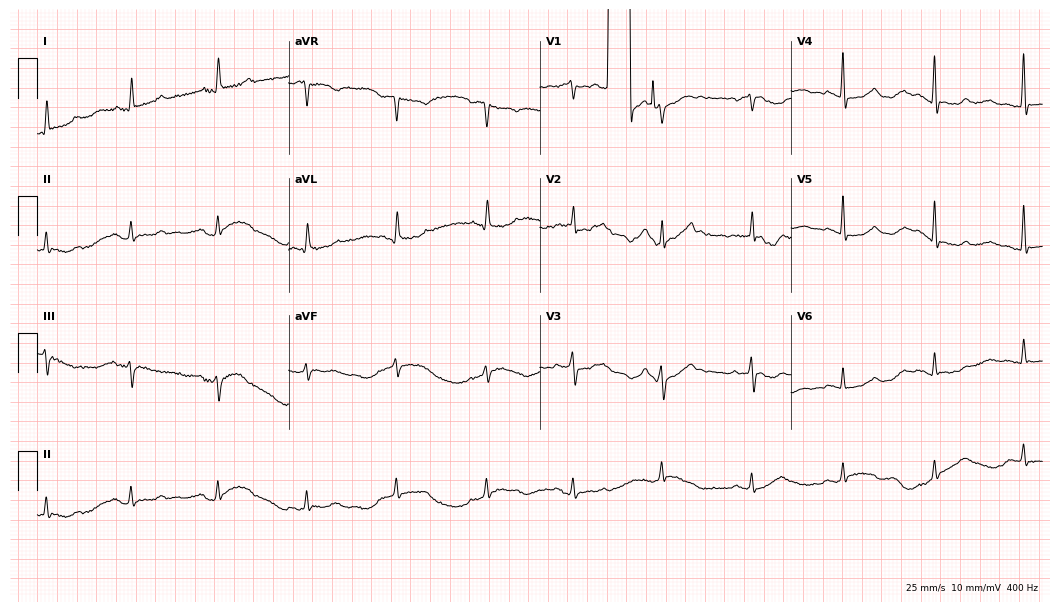
ECG (10.2-second recording at 400 Hz) — an 80-year-old female patient. Labelled as a normal ECG.